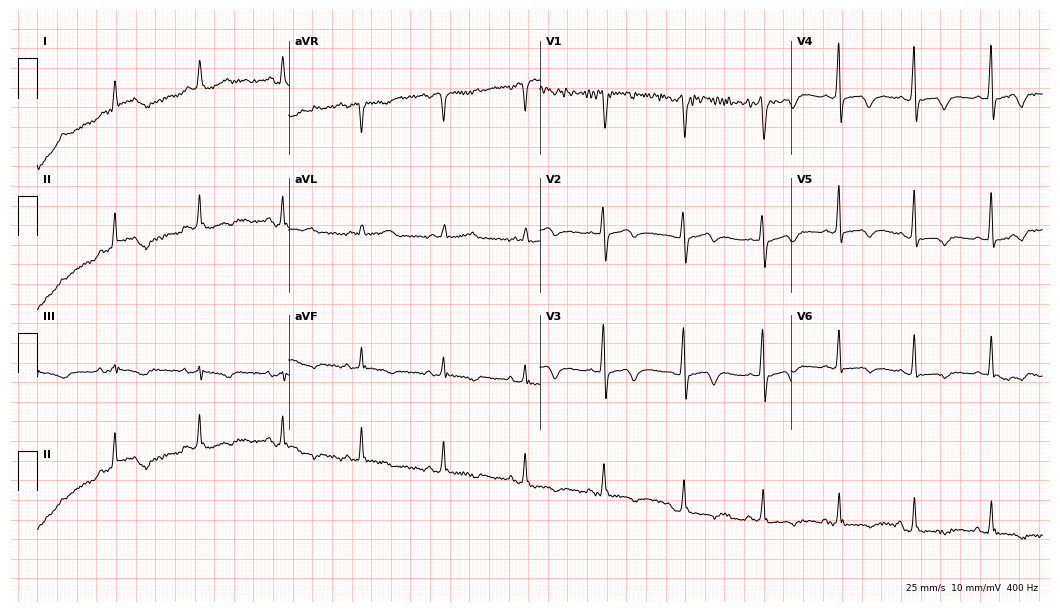
Electrocardiogram (10.2-second recording at 400 Hz), a female, 39 years old. Of the six screened findings (first-degree AV block, right bundle branch block (RBBB), left bundle branch block (LBBB), sinus bradycardia, atrial fibrillation (AF), sinus tachycardia), none is recorded.